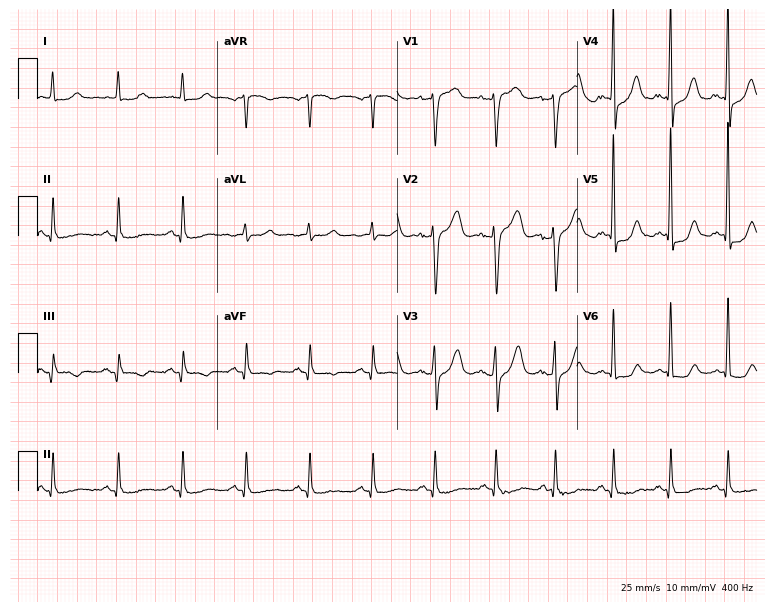
Resting 12-lead electrocardiogram. Patient: an 80-year-old male. None of these six findings is recorded: first-degree AV block, right bundle branch block, left bundle branch block, sinus bradycardia, atrial fibrillation, sinus tachycardia.